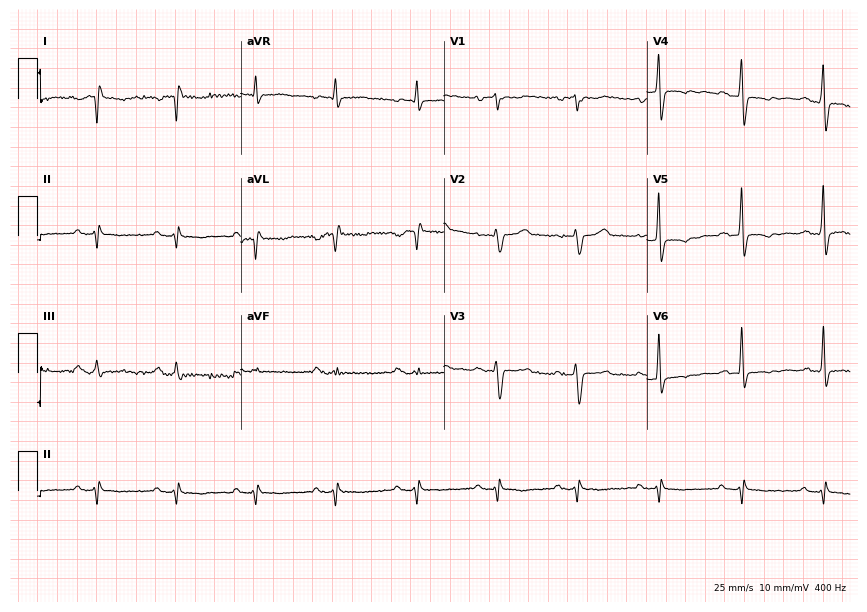
12-lead ECG (8.3-second recording at 400 Hz) from a male, 59 years old. Screened for six findings — first-degree AV block, right bundle branch block, left bundle branch block, sinus bradycardia, atrial fibrillation, sinus tachycardia — none is recorded. Only these six findings were labelled.